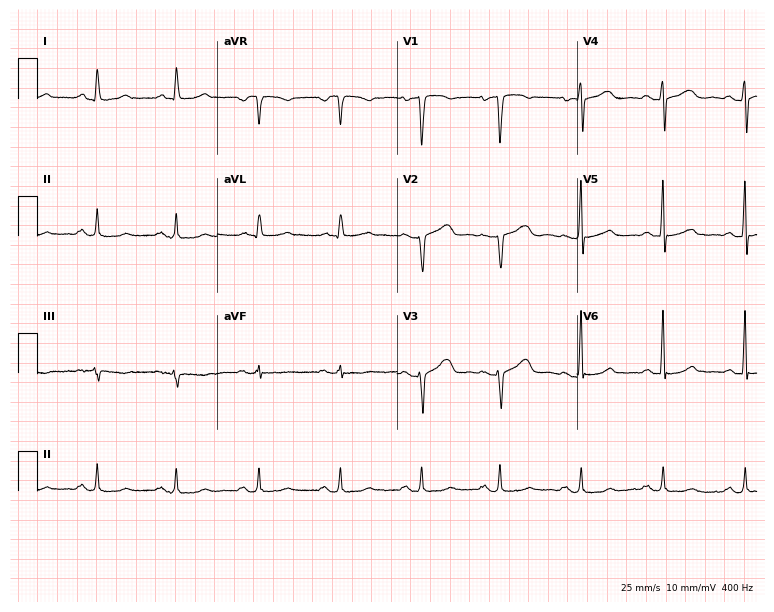
Electrocardiogram (7.3-second recording at 400 Hz), a 51-year-old woman. Of the six screened findings (first-degree AV block, right bundle branch block (RBBB), left bundle branch block (LBBB), sinus bradycardia, atrial fibrillation (AF), sinus tachycardia), none is recorded. Findings outside these six are not listed.